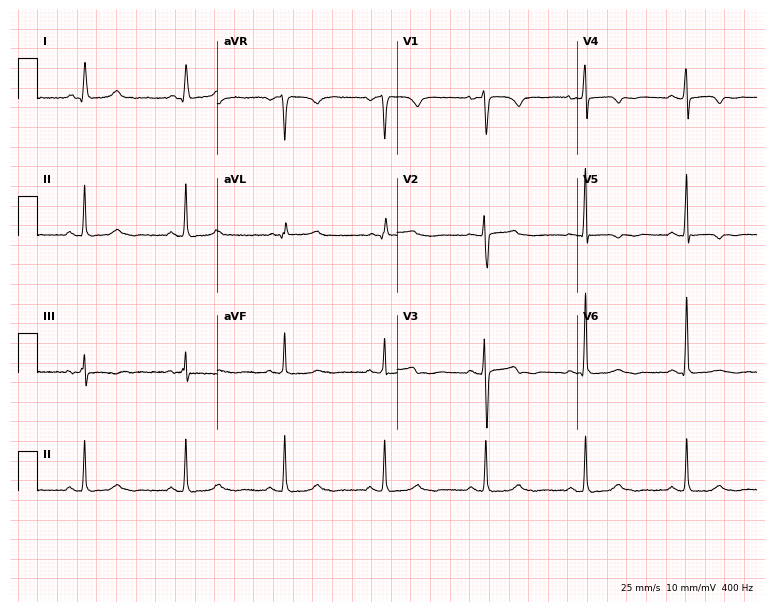
Standard 12-lead ECG recorded from a woman, 71 years old (7.3-second recording at 400 Hz). None of these six findings is recorded: first-degree AV block, right bundle branch block (RBBB), left bundle branch block (LBBB), sinus bradycardia, atrial fibrillation (AF), sinus tachycardia. Only these six findings were labelled.